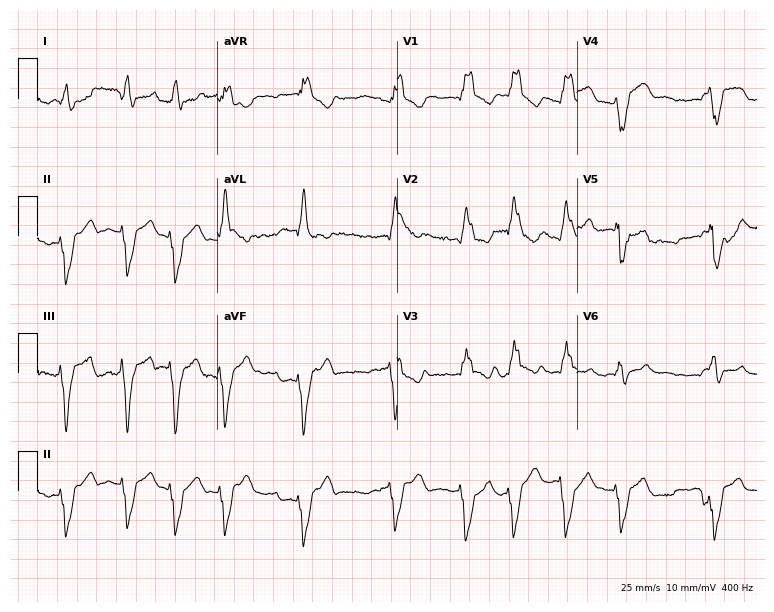
Standard 12-lead ECG recorded from a 53-year-old woman (7.3-second recording at 400 Hz). The tracing shows right bundle branch block, atrial fibrillation.